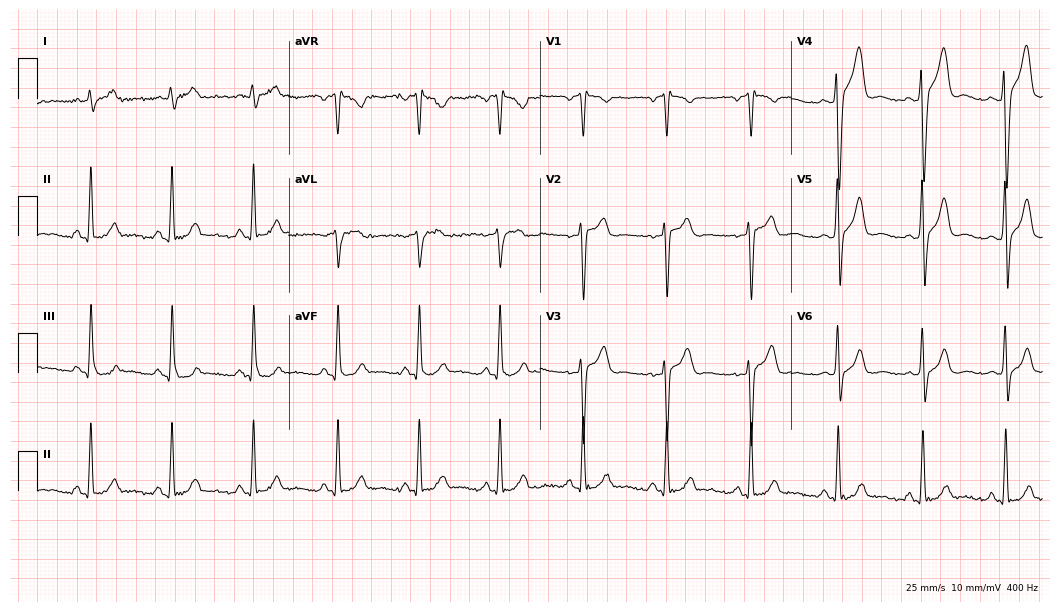
Electrocardiogram (10.2-second recording at 400 Hz), a 36-year-old male. Of the six screened findings (first-degree AV block, right bundle branch block, left bundle branch block, sinus bradycardia, atrial fibrillation, sinus tachycardia), none is recorded. Findings outside these six are not listed.